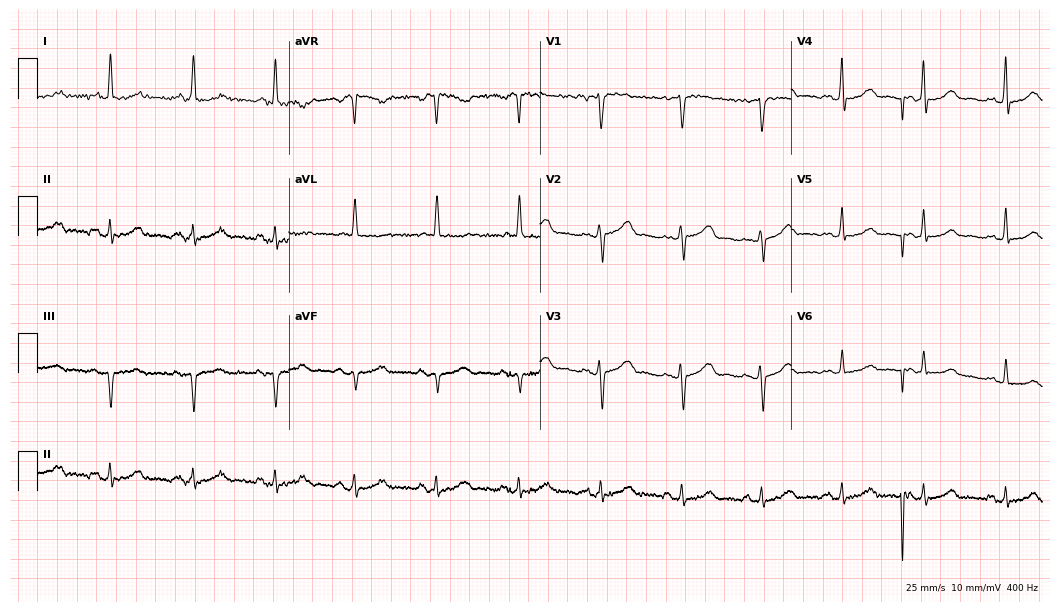
Electrocardiogram (10.2-second recording at 400 Hz), a 56-year-old female. Overall reading on record: normal ECG.